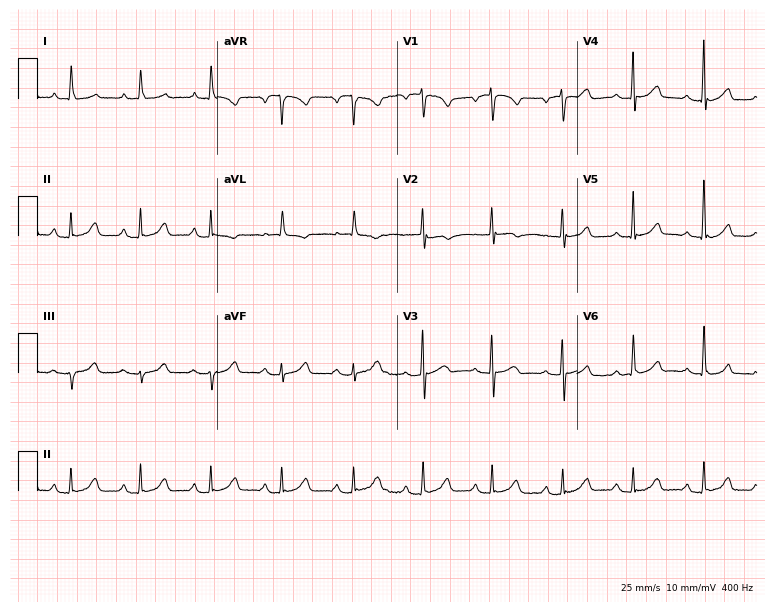
Electrocardiogram (7.3-second recording at 400 Hz), a 63-year-old female. Overall reading on record: normal ECG.